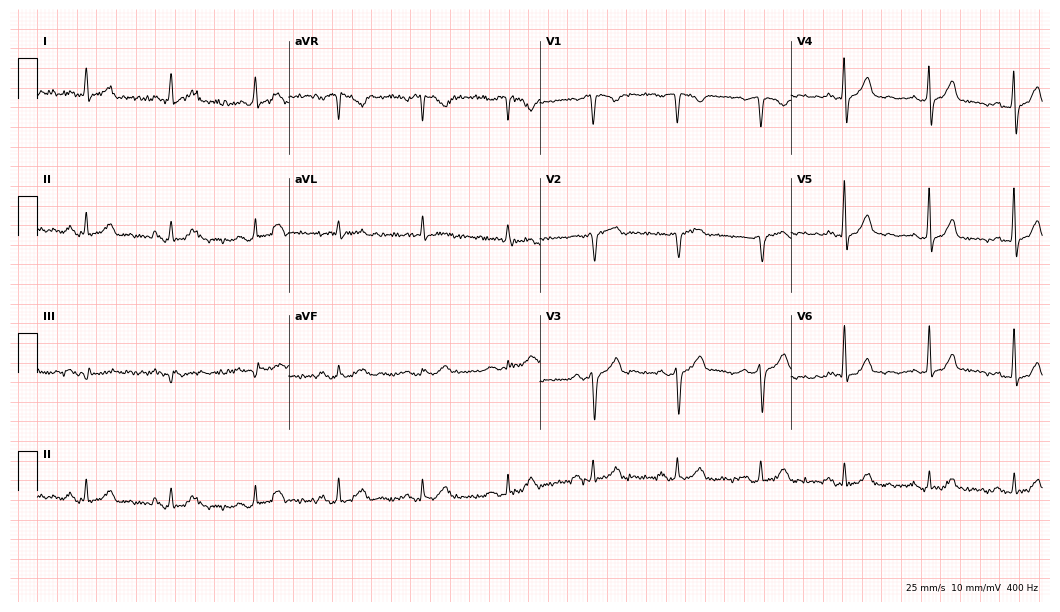
ECG — a man, 78 years old. Screened for six findings — first-degree AV block, right bundle branch block (RBBB), left bundle branch block (LBBB), sinus bradycardia, atrial fibrillation (AF), sinus tachycardia — none is recorded. Other findings, if any, are not listed.